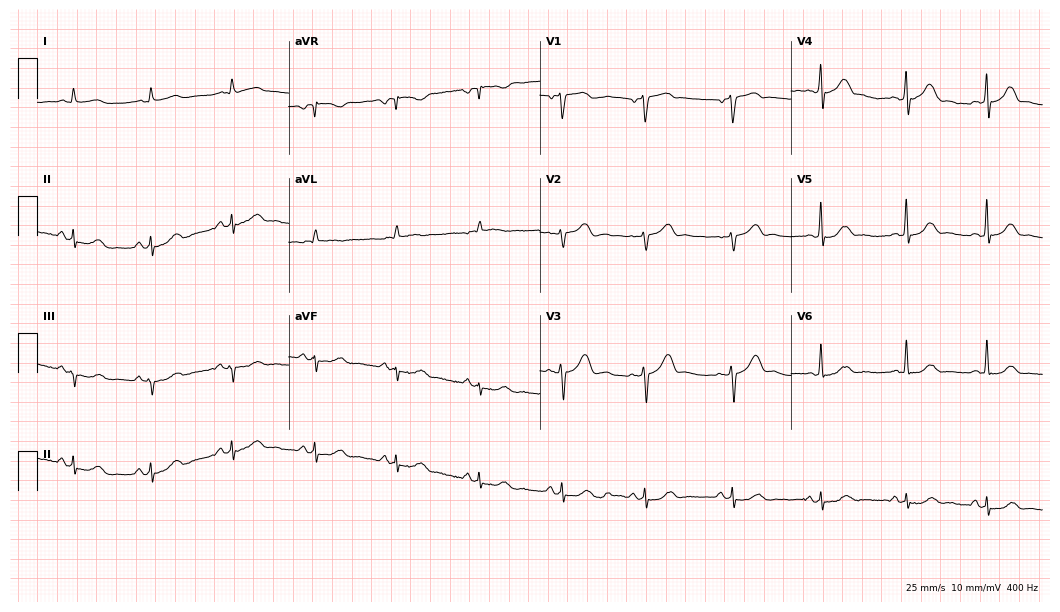
12-lead ECG from a male, 80 years old. Recorded interpretation: within normal limits.